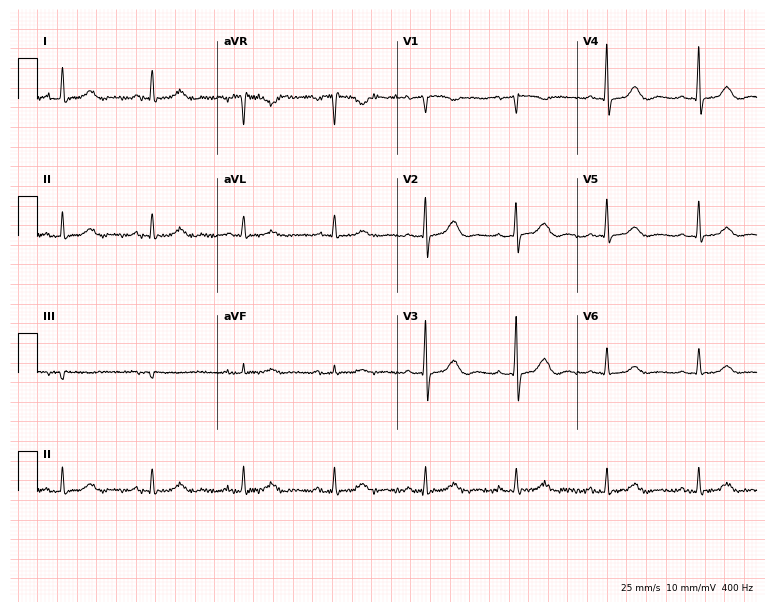
Standard 12-lead ECG recorded from an 80-year-old woman. Read as a normal ECG.